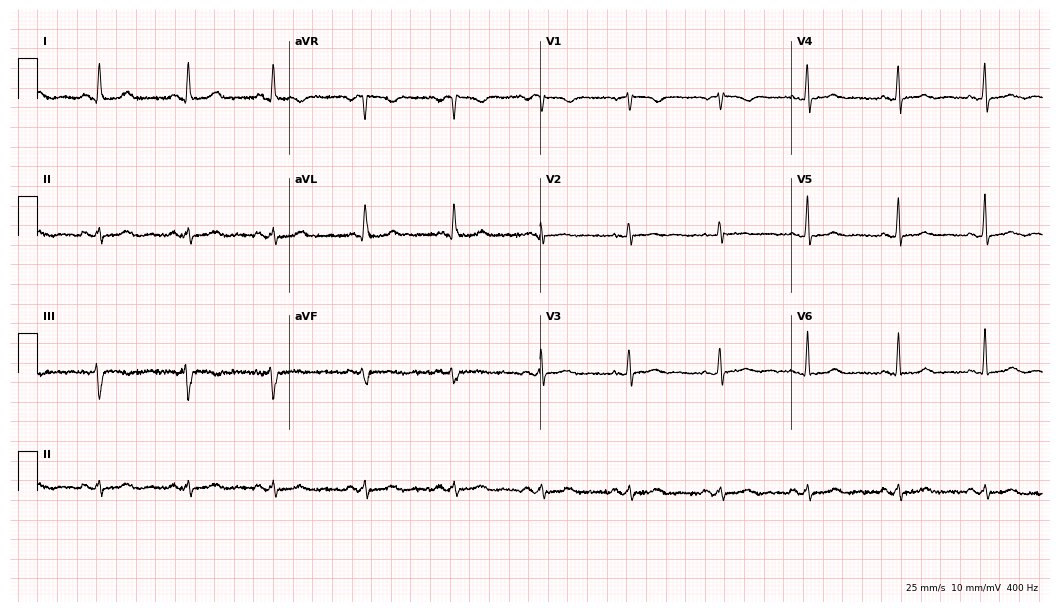
Standard 12-lead ECG recorded from a female, 56 years old (10.2-second recording at 400 Hz). None of these six findings is recorded: first-degree AV block, right bundle branch block, left bundle branch block, sinus bradycardia, atrial fibrillation, sinus tachycardia.